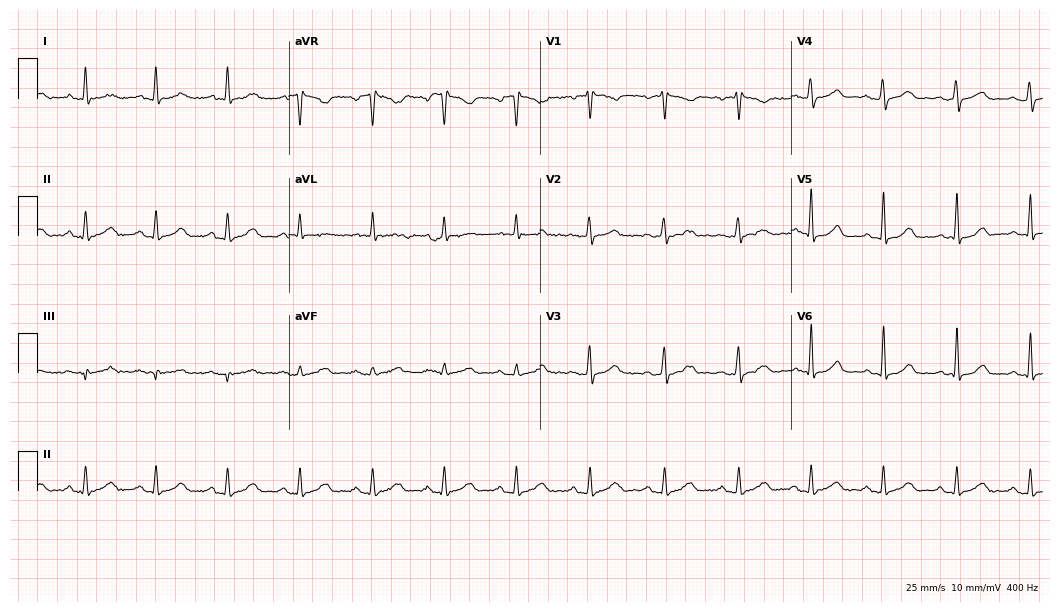
ECG (10.2-second recording at 400 Hz) — a woman, 50 years old. Labelled as a normal ECG.